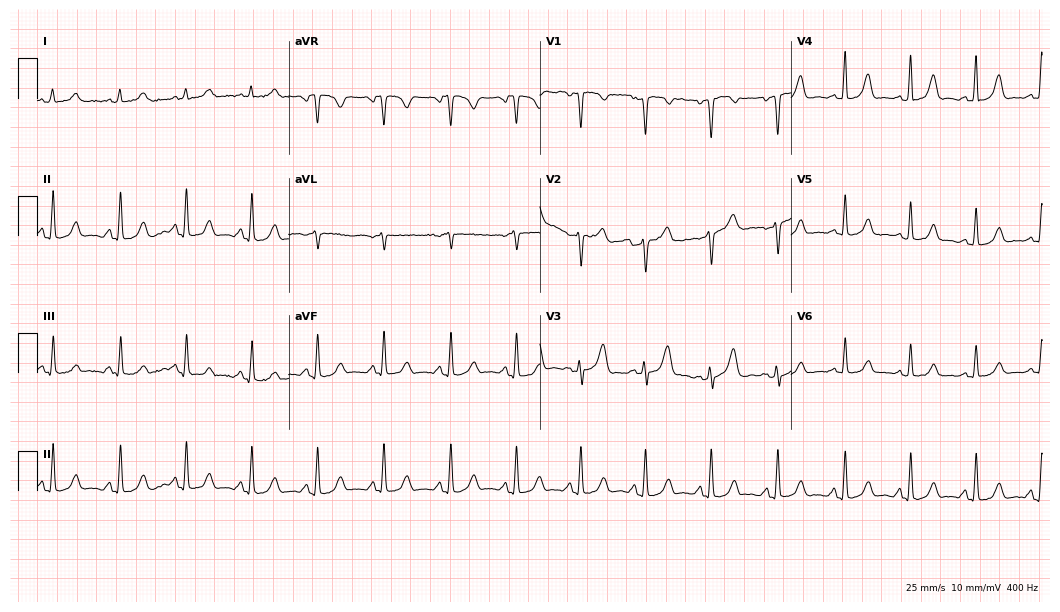
12-lead ECG from a woman, 43 years old. Recorded interpretation: within normal limits.